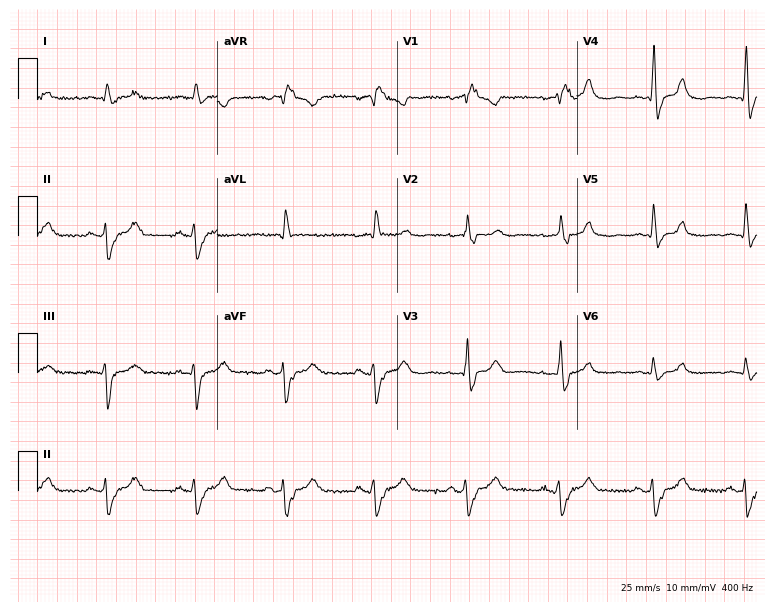
12-lead ECG from a man, 76 years old. No first-degree AV block, right bundle branch block, left bundle branch block, sinus bradycardia, atrial fibrillation or sinus tachycardia recorded for this tracing. Other findings, if any, are not listed.